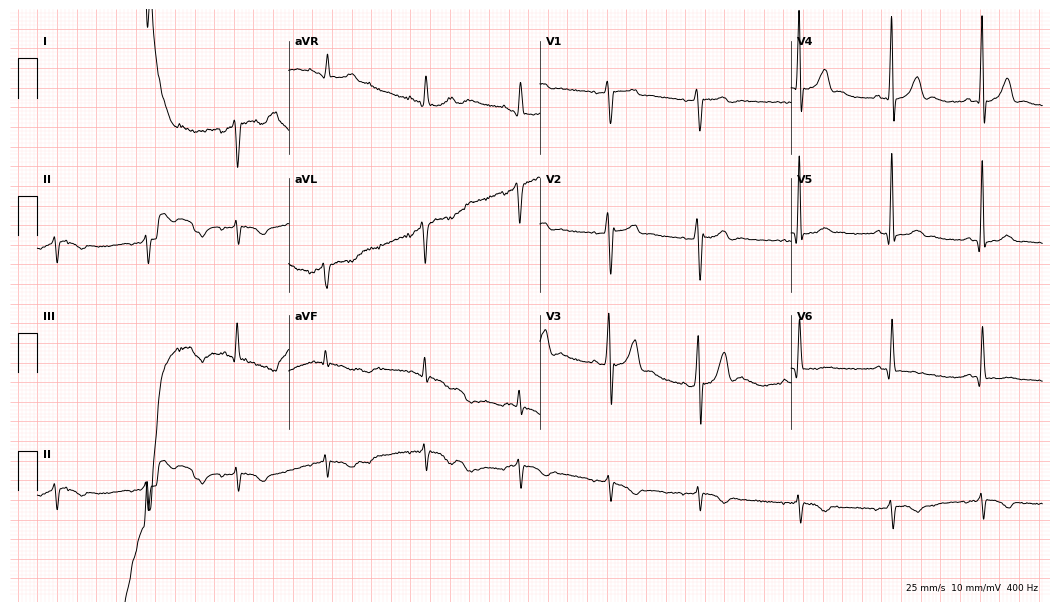
Resting 12-lead electrocardiogram. Patient: a 70-year-old male. None of these six findings is recorded: first-degree AV block, right bundle branch block (RBBB), left bundle branch block (LBBB), sinus bradycardia, atrial fibrillation (AF), sinus tachycardia. Findings outside these six are not listed.